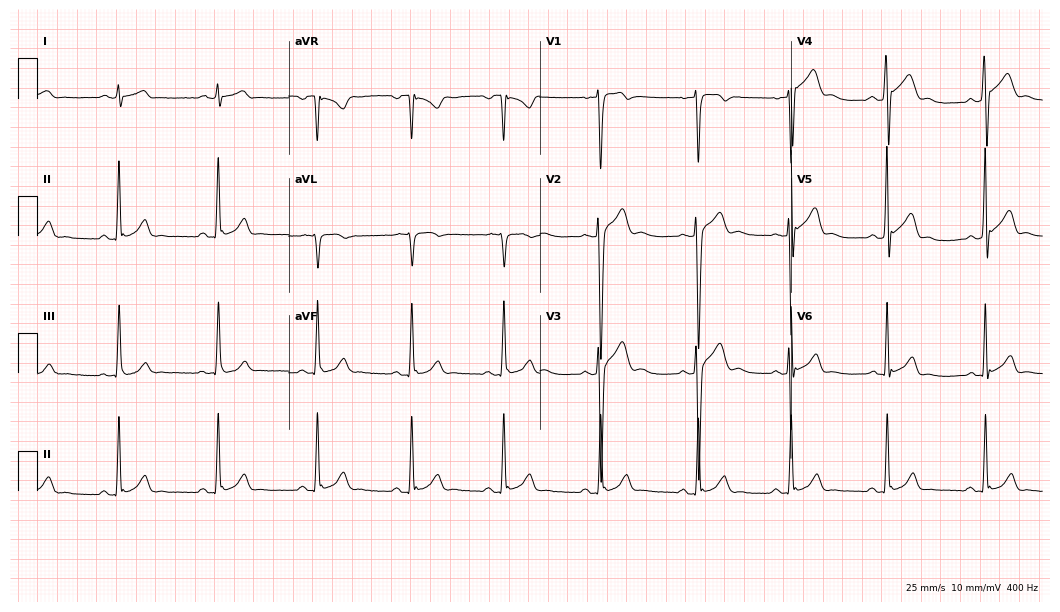
12-lead ECG from a man, 31 years old. Labelled as a normal ECG.